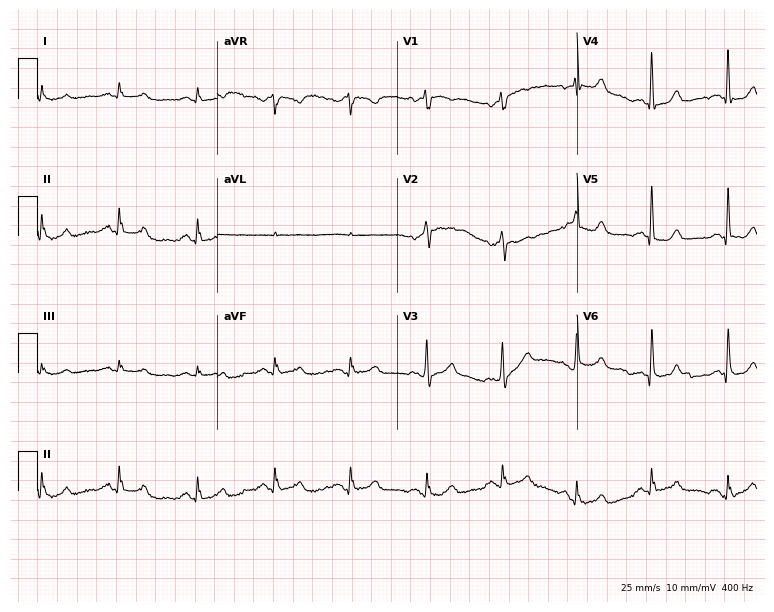
ECG — a 60-year-old woman. Screened for six findings — first-degree AV block, right bundle branch block (RBBB), left bundle branch block (LBBB), sinus bradycardia, atrial fibrillation (AF), sinus tachycardia — none is recorded. Other findings, if any, are not listed.